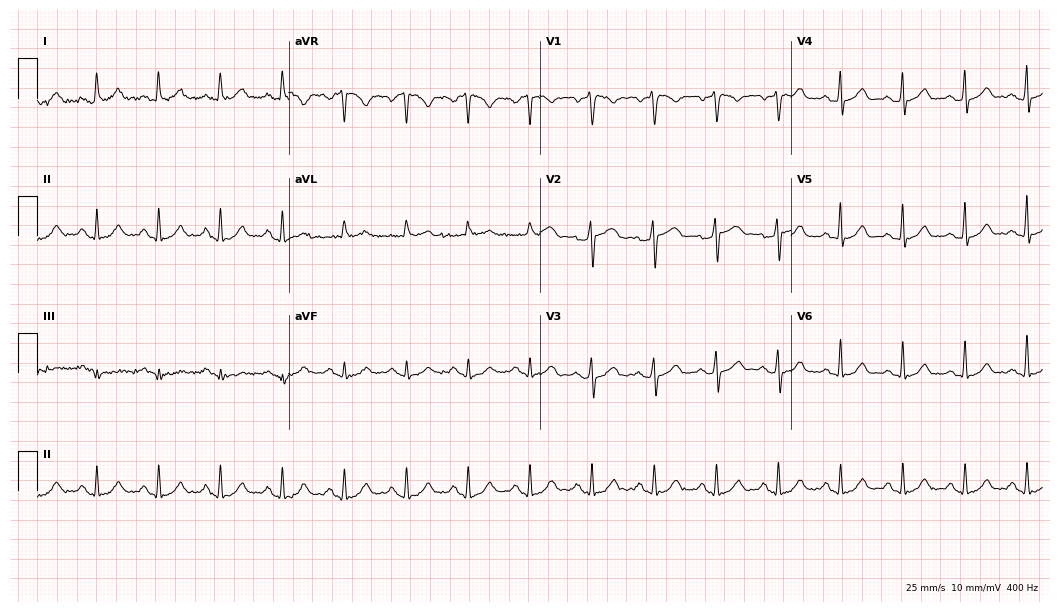
12-lead ECG from a male patient, 39 years old. Recorded interpretation: within normal limits.